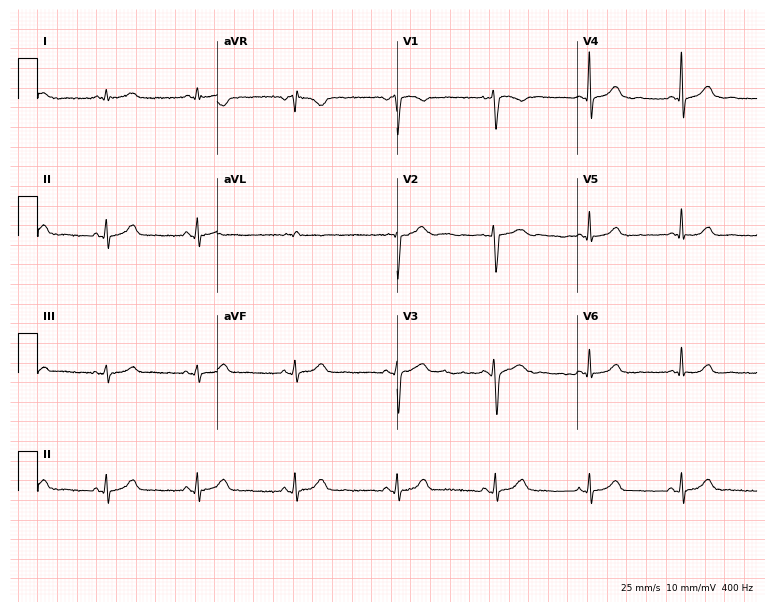
Electrocardiogram, a 47-year-old female. Overall reading on record: normal ECG.